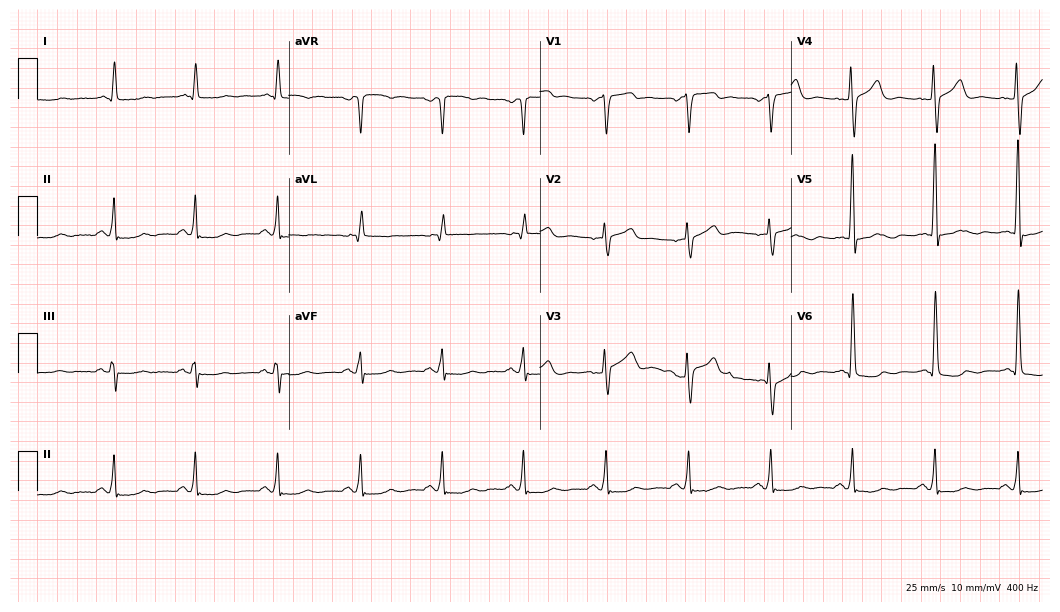
Electrocardiogram, a 64-year-old male. Of the six screened findings (first-degree AV block, right bundle branch block (RBBB), left bundle branch block (LBBB), sinus bradycardia, atrial fibrillation (AF), sinus tachycardia), none is recorded.